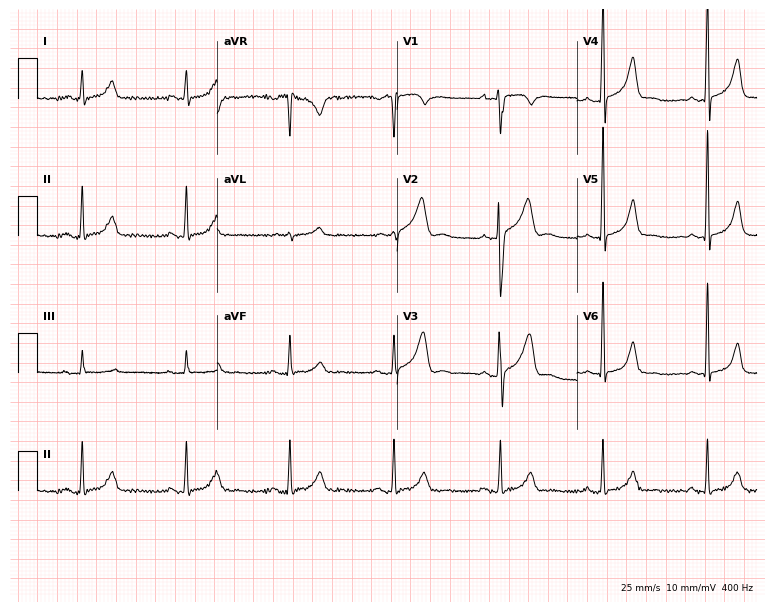
12-lead ECG from a male, 37 years old. No first-degree AV block, right bundle branch block (RBBB), left bundle branch block (LBBB), sinus bradycardia, atrial fibrillation (AF) or sinus tachycardia recorded for this tracing. Only these six findings were labelled.